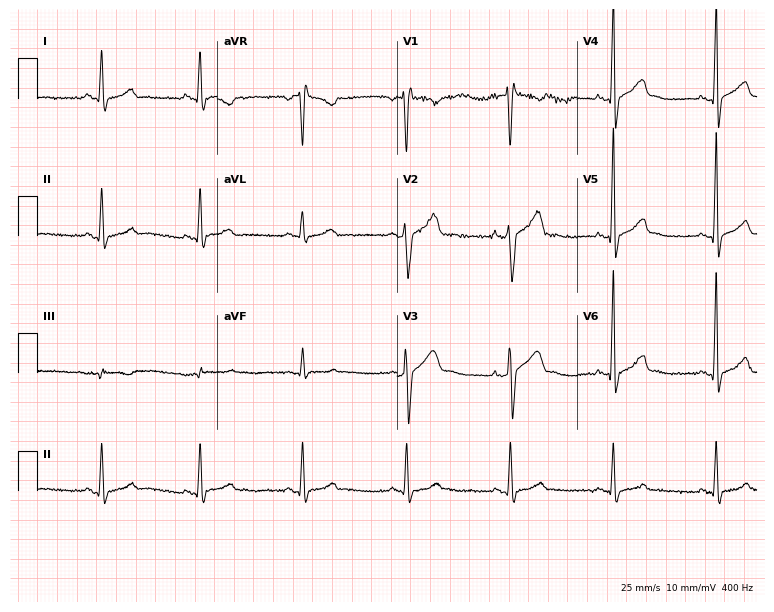
12-lead ECG (7.3-second recording at 400 Hz) from a 43-year-old male patient. Screened for six findings — first-degree AV block, right bundle branch block, left bundle branch block, sinus bradycardia, atrial fibrillation, sinus tachycardia — none is recorded. Only these six findings were labelled.